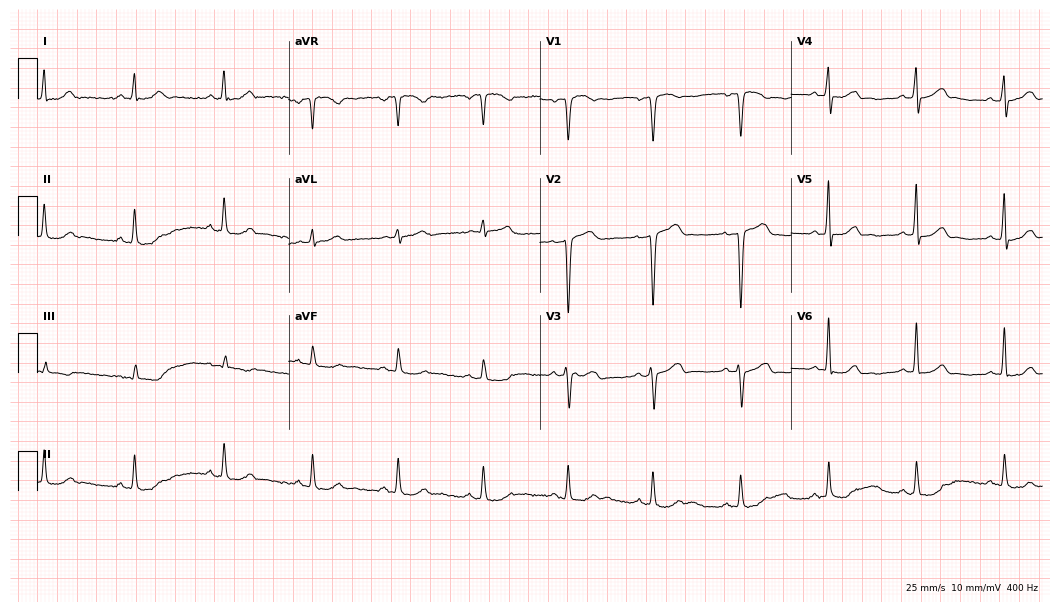
12-lead ECG from a male, 44 years old. Labelled as a normal ECG.